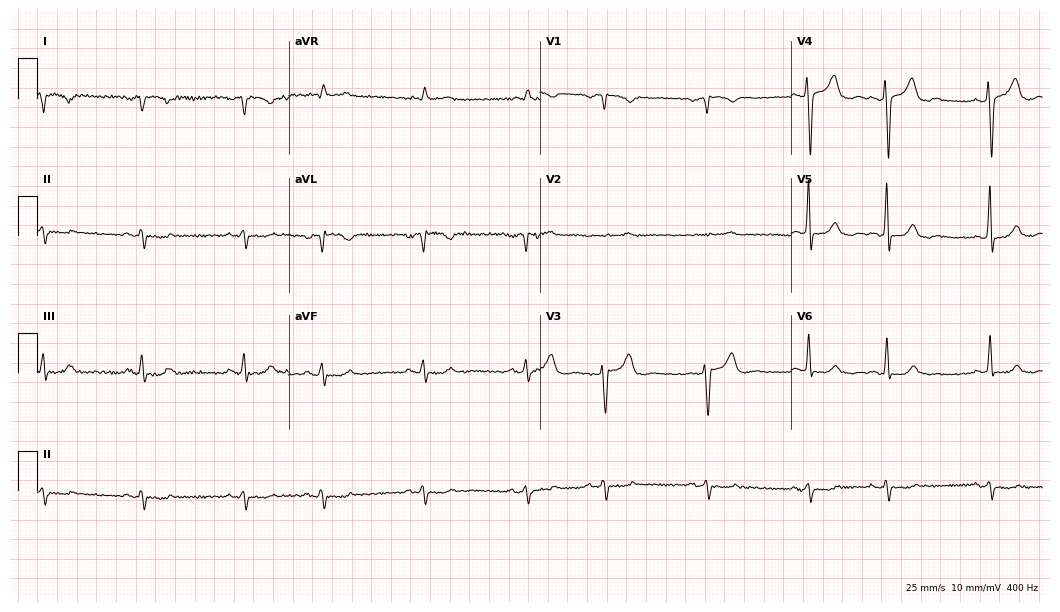
12-lead ECG from a 69-year-old man. Screened for six findings — first-degree AV block, right bundle branch block, left bundle branch block, sinus bradycardia, atrial fibrillation, sinus tachycardia — none is recorded. Only these six findings were labelled.